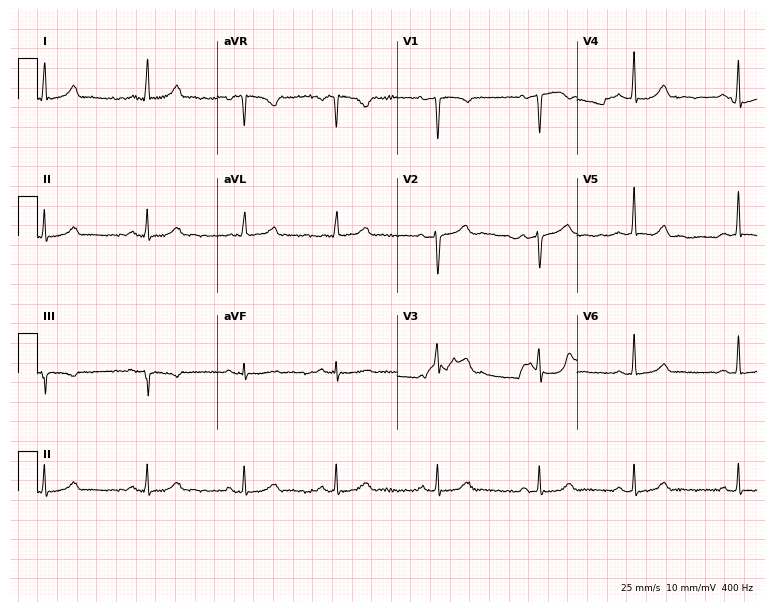
ECG (7.3-second recording at 400 Hz) — a female, 36 years old. Labelled as a normal ECG.